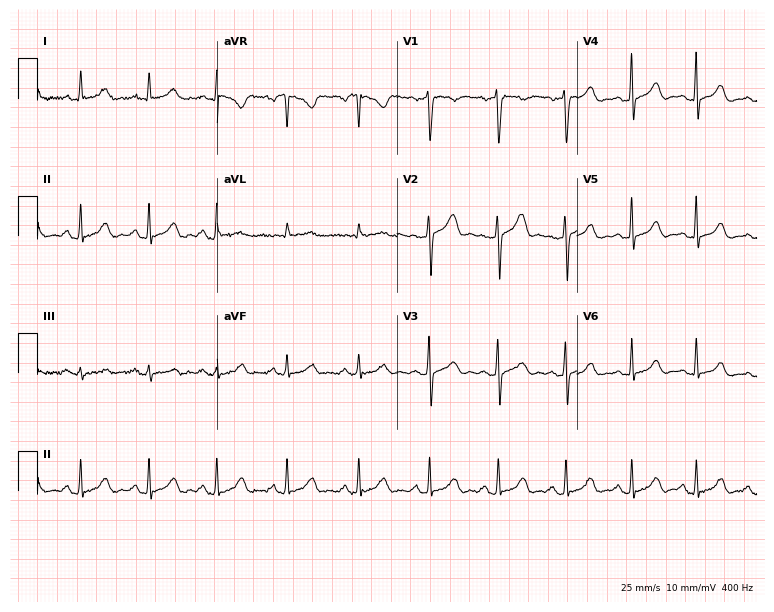
ECG (7.3-second recording at 400 Hz) — a female, 24 years old. Screened for six findings — first-degree AV block, right bundle branch block, left bundle branch block, sinus bradycardia, atrial fibrillation, sinus tachycardia — none is recorded.